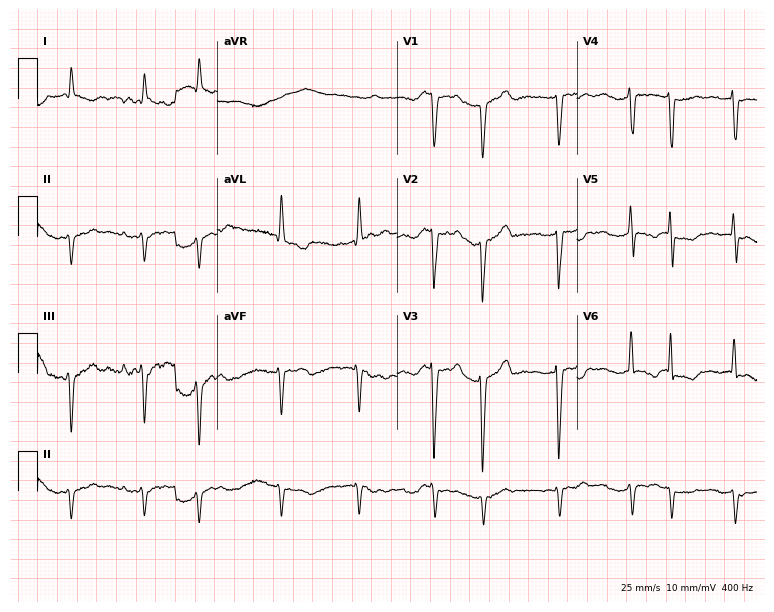
Resting 12-lead electrocardiogram. Patient: a woman, 78 years old. The tracing shows atrial fibrillation.